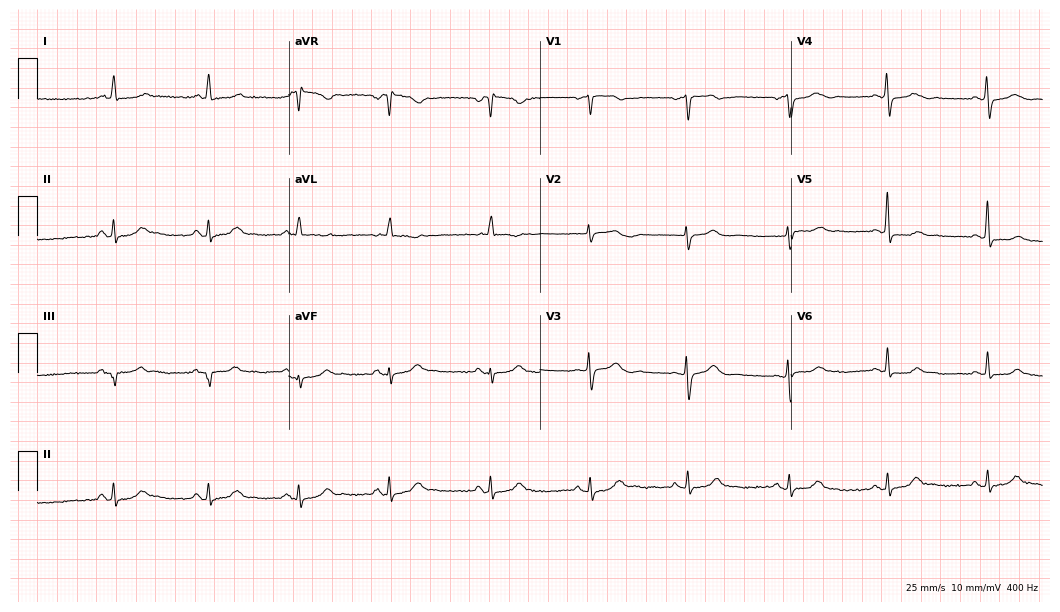
ECG (10.2-second recording at 400 Hz) — a woman, 51 years old. Screened for six findings — first-degree AV block, right bundle branch block (RBBB), left bundle branch block (LBBB), sinus bradycardia, atrial fibrillation (AF), sinus tachycardia — none is recorded. Findings outside these six are not listed.